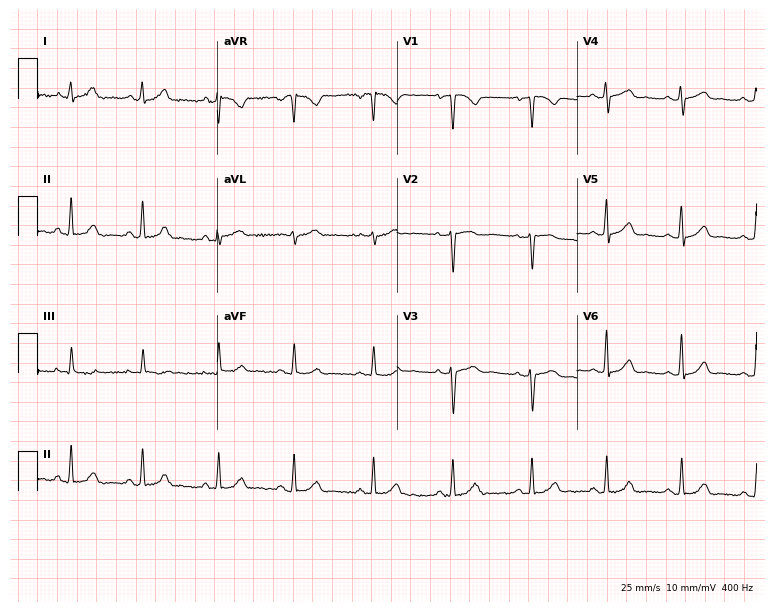
12-lead ECG (7.3-second recording at 400 Hz) from a female patient, 33 years old. Screened for six findings — first-degree AV block, right bundle branch block, left bundle branch block, sinus bradycardia, atrial fibrillation, sinus tachycardia — none is recorded. Findings outside these six are not listed.